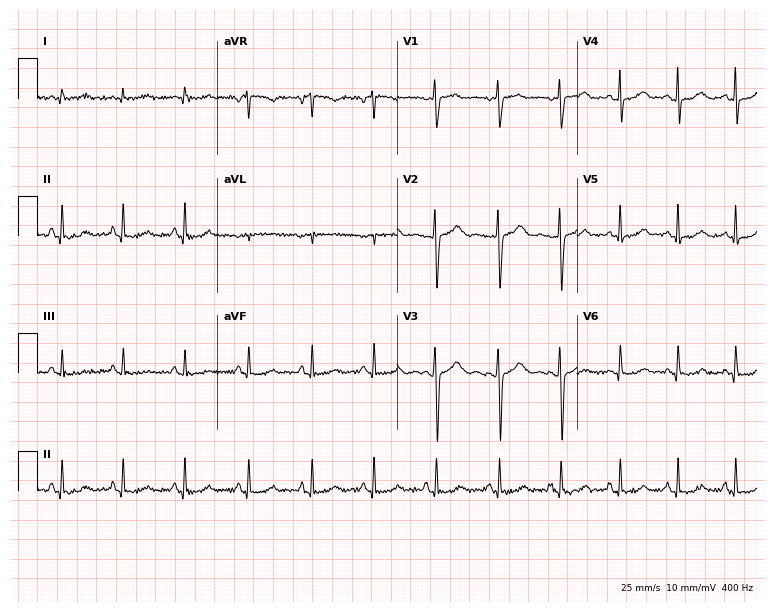
ECG — a 22-year-old female patient. Screened for six findings — first-degree AV block, right bundle branch block (RBBB), left bundle branch block (LBBB), sinus bradycardia, atrial fibrillation (AF), sinus tachycardia — none is recorded.